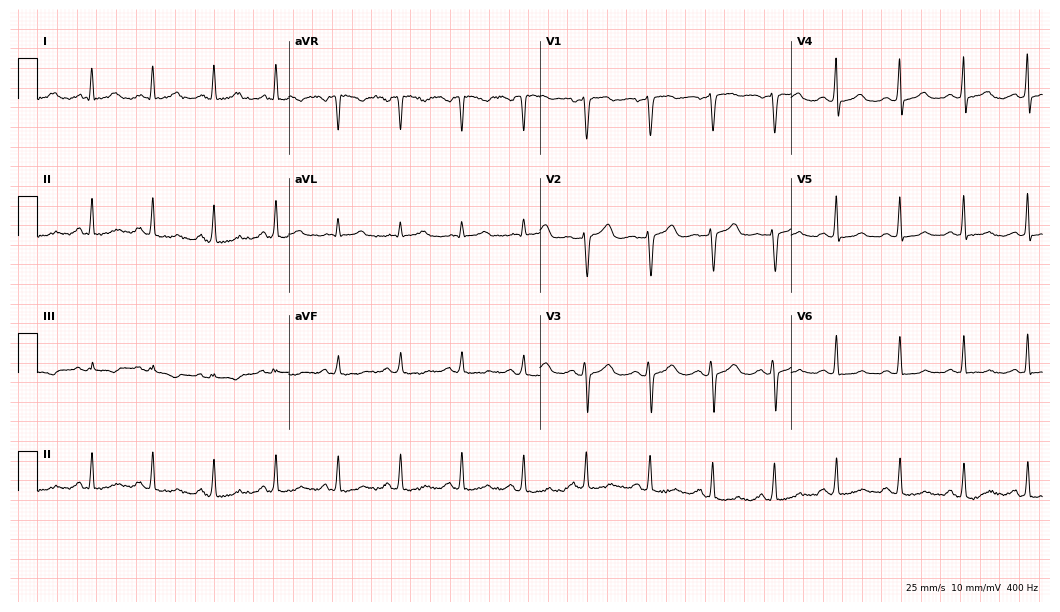
Electrocardiogram (10.2-second recording at 400 Hz), a woman, 50 years old. Of the six screened findings (first-degree AV block, right bundle branch block (RBBB), left bundle branch block (LBBB), sinus bradycardia, atrial fibrillation (AF), sinus tachycardia), none is recorded. Findings outside these six are not listed.